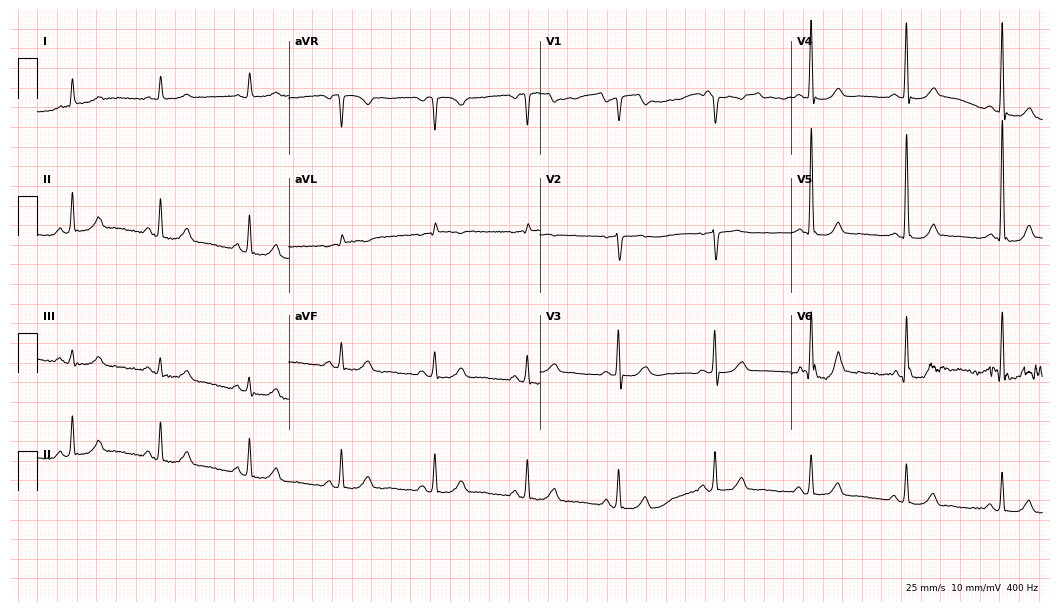
ECG — a 73-year-old female. Labelled as a normal ECG.